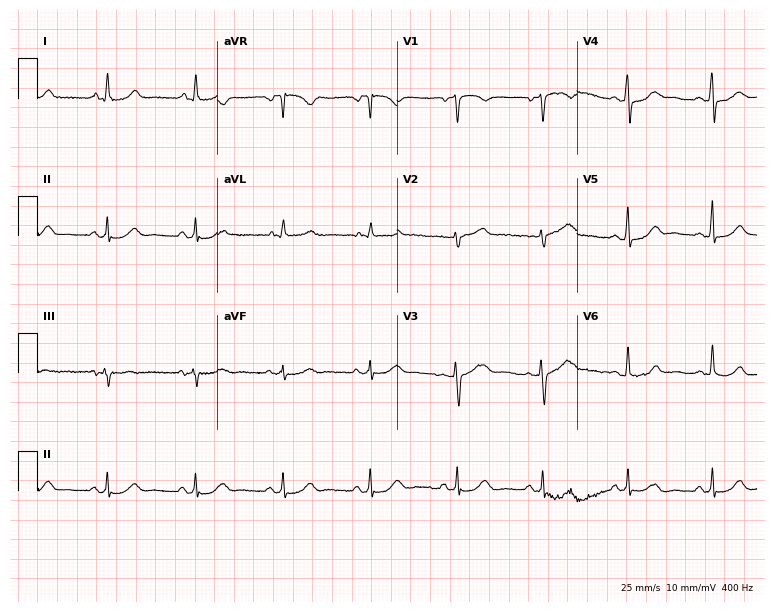
12-lead ECG from a female, 51 years old (7.3-second recording at 400 Hz). Recorded interpretation: within normal limits.